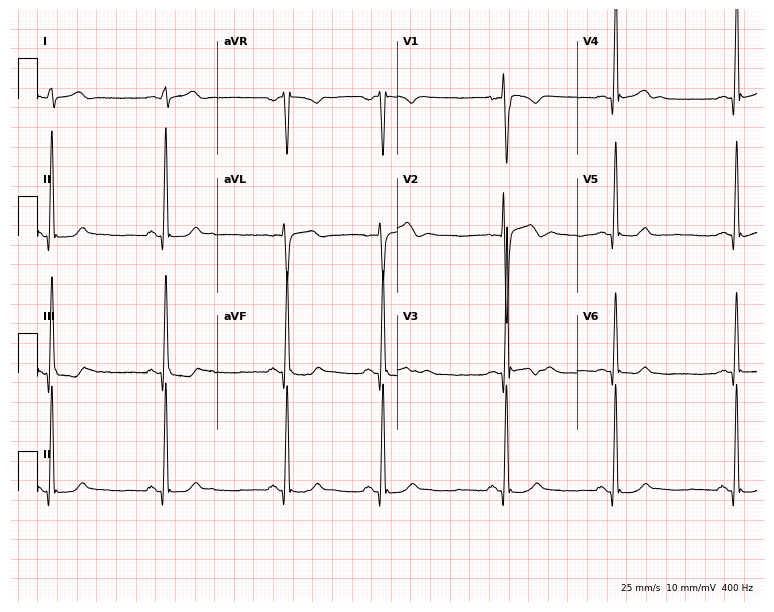
Resting 12-lead electrocardiogram. Patient: a male, 21 years old. None of these six findings is recorded: first-degree AV block, right bundle branch block (RBBB), left bundle branch block (LBBB), sinus bradycardia, atrial fibrillation (AF), sinus tachycardia.